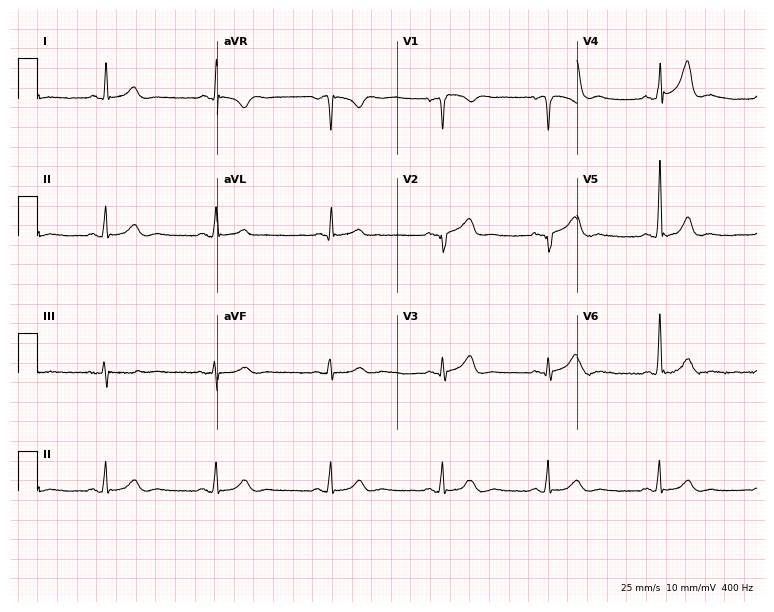
Standard 12-lead ECG recorded from a 41-year-old male patient (7.3-second recording at 400 Hz). None of these six findings is recorded: first-degree AV block, right bundle branch block (RBBB), left bundle branch block (LBBB), sinus bradycardia, atrial fibrillation (AF), sinus tachycardia. Other findings, if any, are not listed.